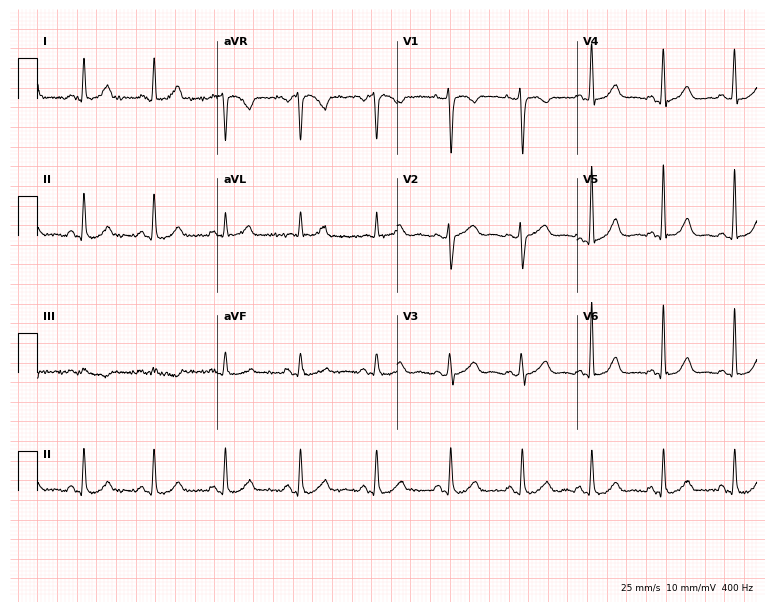
Resting 12-lead electrocardiogram. Patient: a 54-year-old female. None of these six findings is recorded: first-degree AV block, right bundle branch block, left bundle branch block, sinus bradycardia, atrial fibrillation, sinus tachycardia.